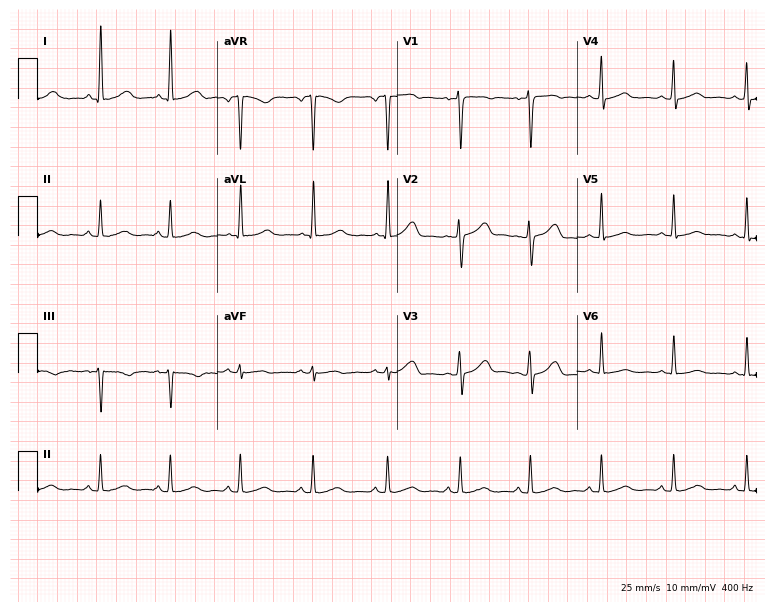
Standard 12-lead ECG recorded from a woman, 35 years old. None of these six findings is recorded: first-degree AV block, right bundle branch block (RBBB), left bundle branch block (LBBB), sinus bradycardia, atrial fibrillation (AF), sinus tachycardia.